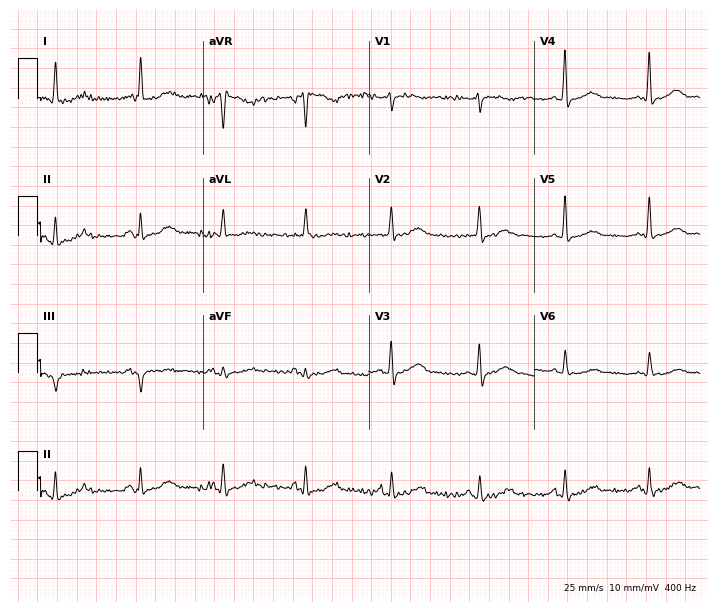
Resting 12-lead electrocardiogram (6.8-second recording at 400 Hz). Patient: a 73-year-old woman. Read as a normal ECG.